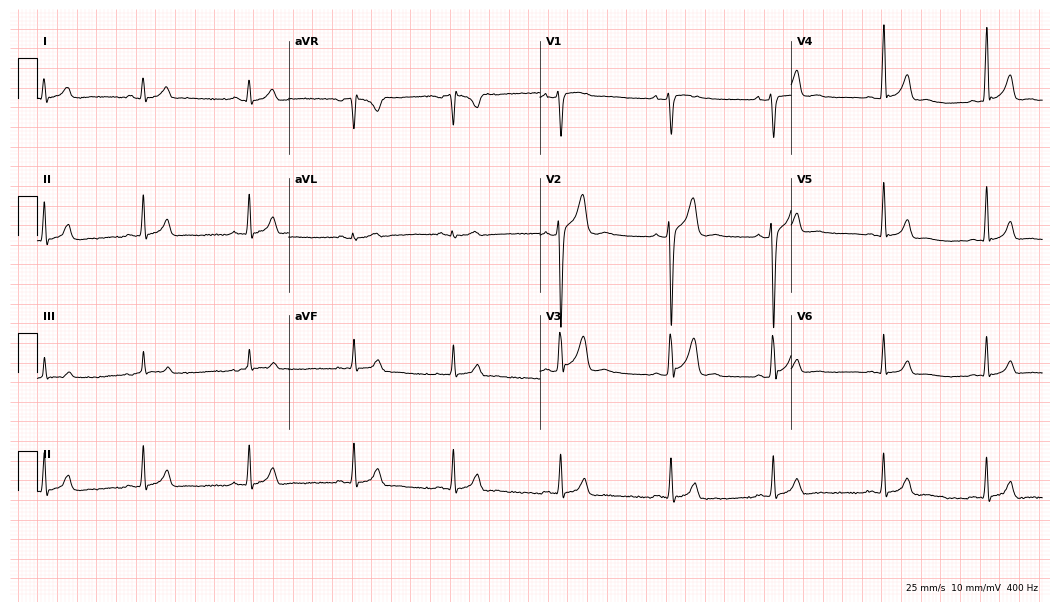
12-lead ECG from a 21-year-old male patient (10.2-second recording at 400 Hz). No first-degree AV block, right bundle branch block (RBBB), left bundle branch block (LBBB), sinus bradycardia, atrial fibrillation (AF) or sinus tachycardia recorded for this tracing. Findings outside these six are not listed.